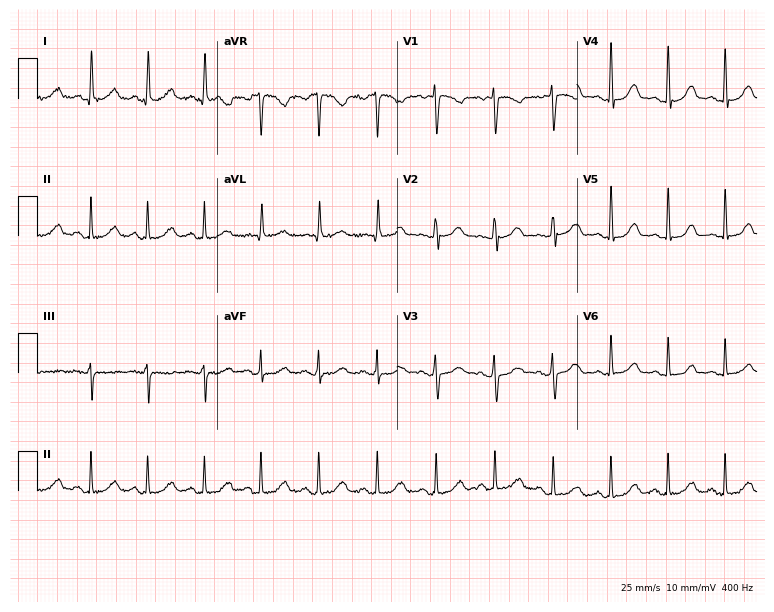
ECG — a 40-year-old female patient. Findings include sinus tachycardia (a sinus rate of 100 beats per minute or more).